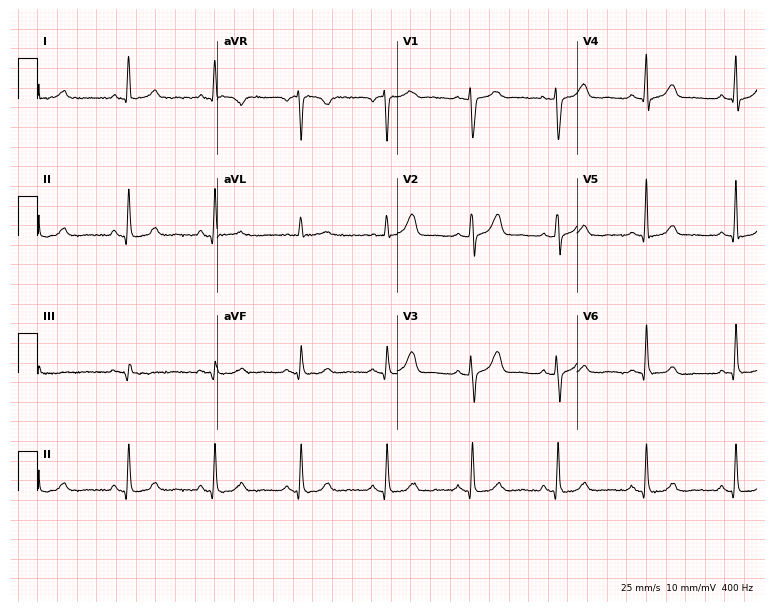
12-lead ECG from a female, 48 years old (7.3-second recording at 400 Hz). Recorded interpretation: within normal limits.